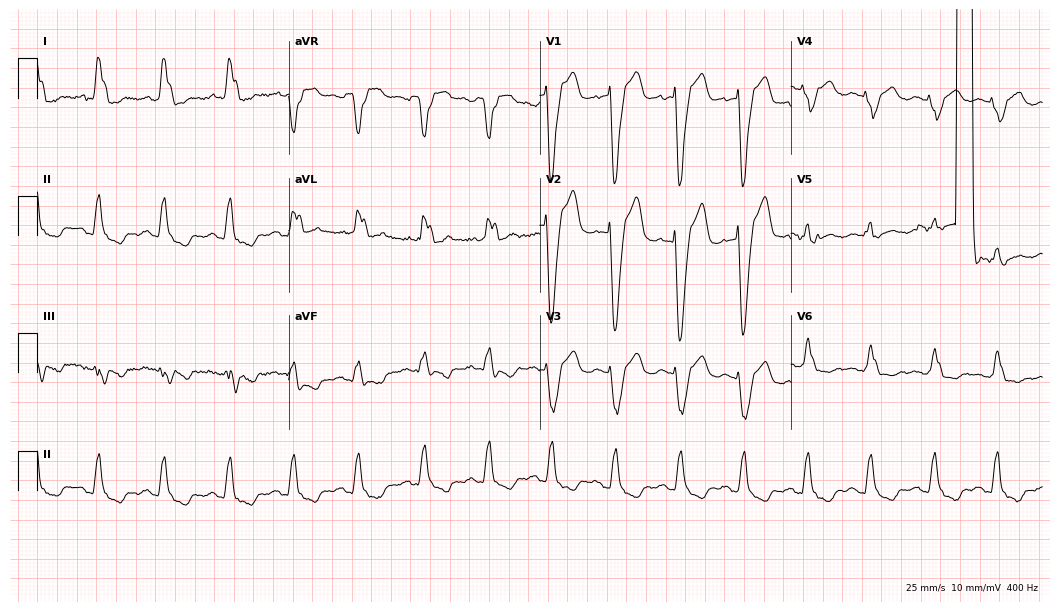
Standard 12-lead ECG recorded from a 30-year-old female patient. The tracing shows atrial fibrillation (AF).